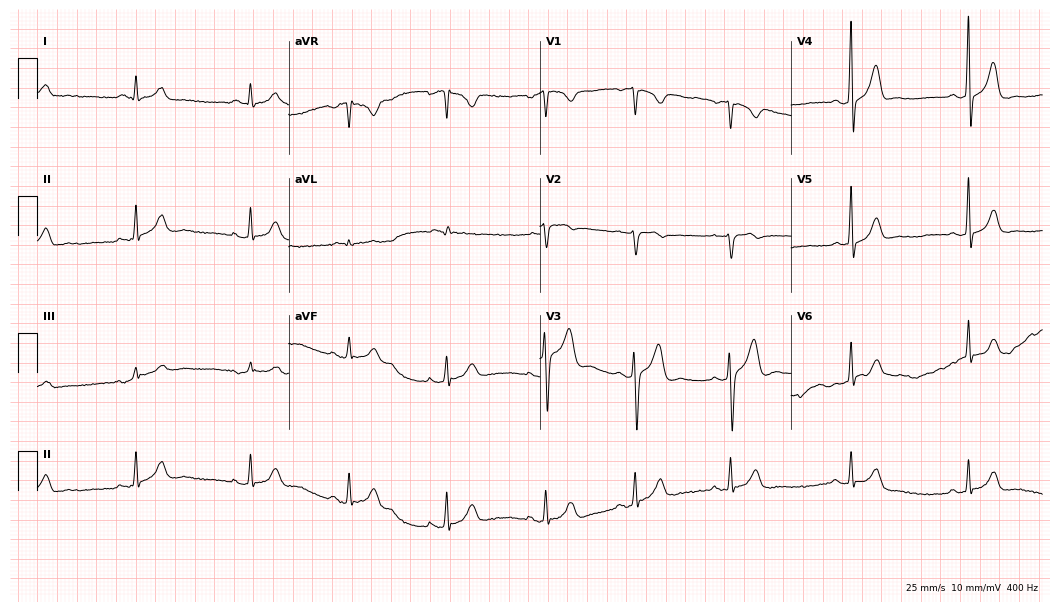
12-lead ECG (10.2-second recording at 400 Hz) from a 28-year-old man. Labelled as a normal ECG.